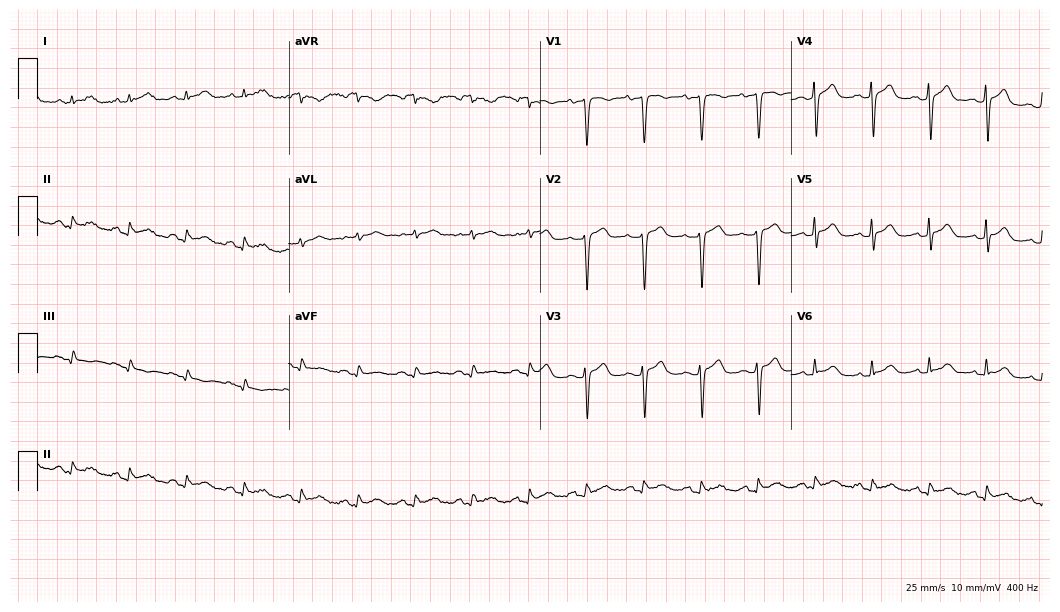
12-lead ECG from a 50-year-old woman. Shows sinus tachycardia (a sinus rate of 100 beats per minute or more).